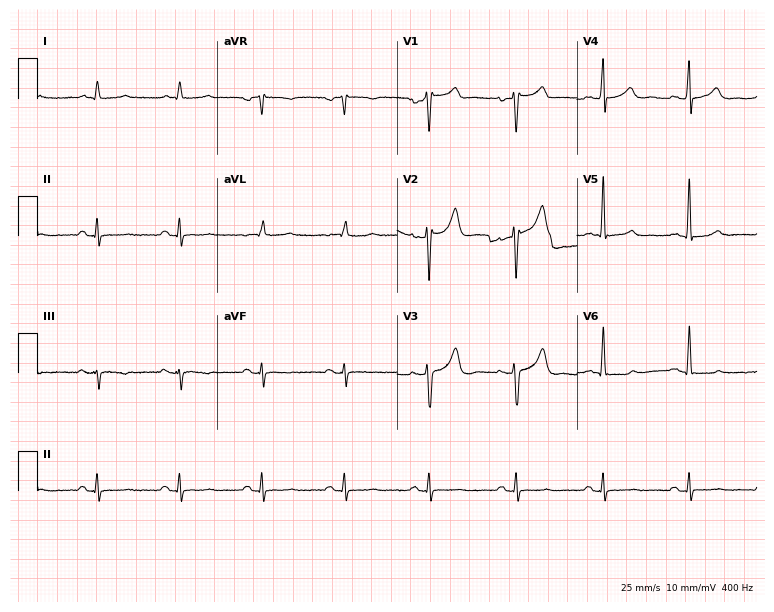
Electrocardiogram, a man, 48 years old. Of the six screened findings (first-degree AV block, right bundle branch block, left bundle branch block, sinus bradycardia, atrial fibrillation, sinus tachycardia), none is recorded. Other findings, if any, are not listed.